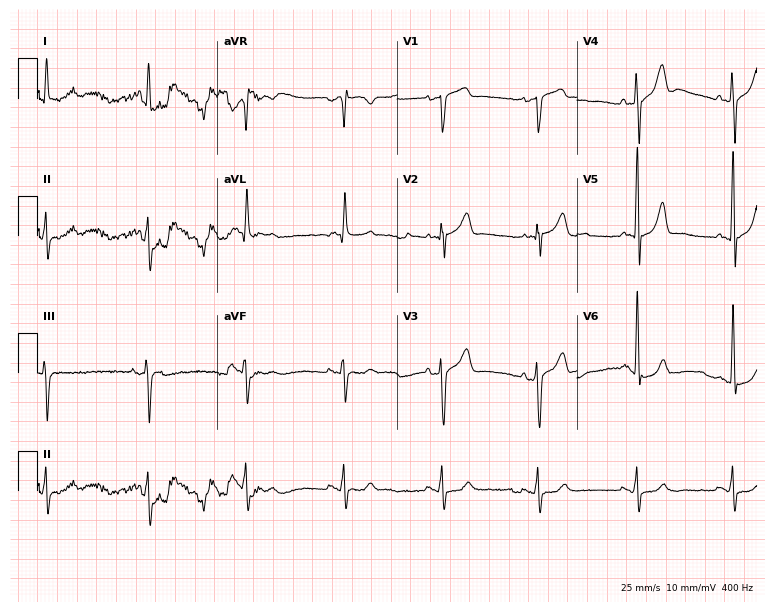
12-lead ECG from a 48-year-old male (7.3-second recording at 400 Hz). Recorded interpretation: within normal limits.